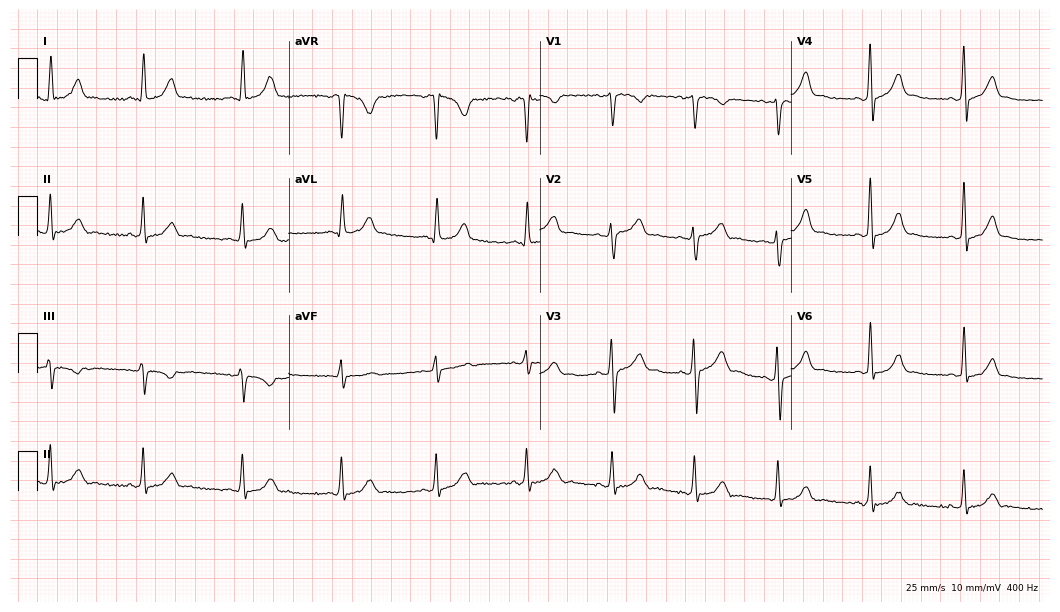
ECG — a woman, 23 years old. Labelled as a normal ECG.